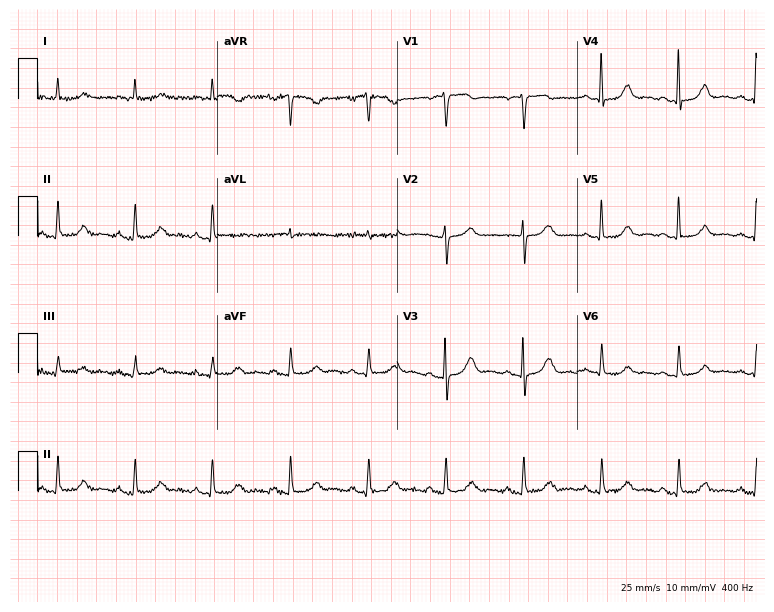
Standard 12-lead ECG recorded from a female patient, 70 years old (7.3-second recording at 400 Hz). Read as a normal ECG.